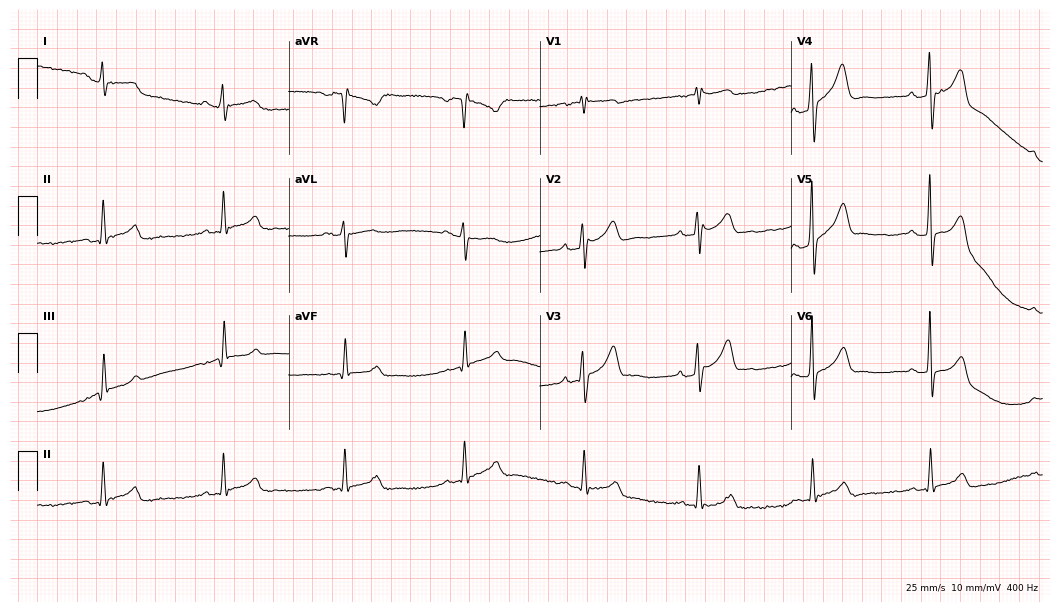
12-lead ECG from a male, 39 years old. Shows sinus bradycardia (a sinus rate of 50 beats per minute or less).